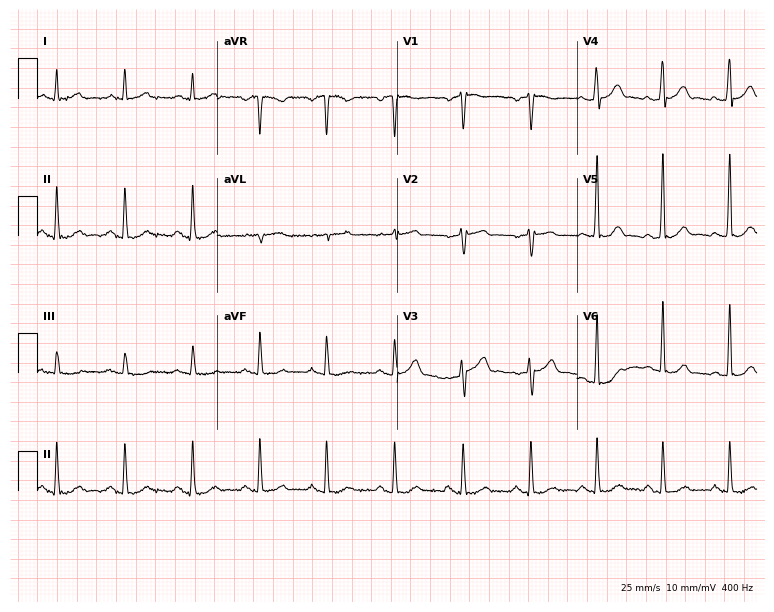
Standard 12-lead ECG recorded from a man, 54 years old (7.3-second recording at 400 Hz). None of these six findings is recorded: first-degree AV block, right bundle branch block (RBBB), left bundle branch block (LBBB), sinus bradycardia, atrial fibrillation (AF), sinus tachycardia.